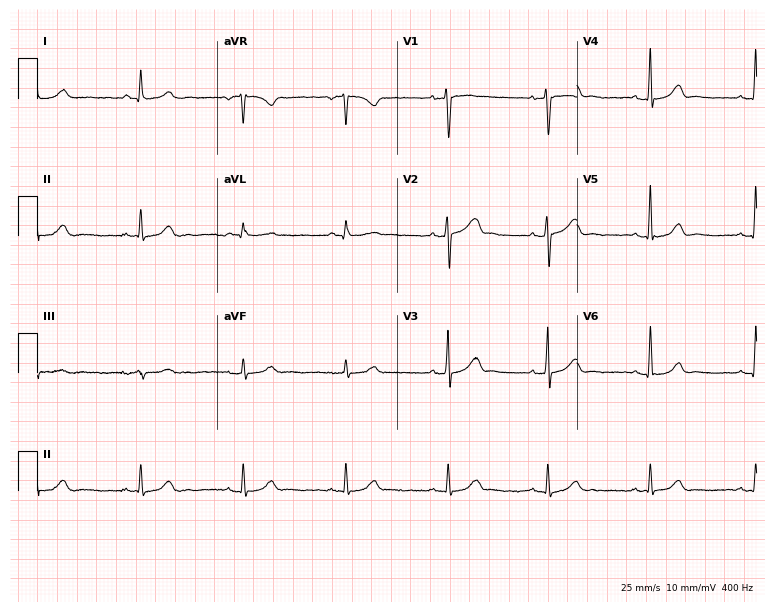
12-lead ECG (7.3-second recording at 400 Hz) from a man, 45 years old. Screened for six findings — first-degree AV block, right bundle branch block (RBBB), left bundle branch block (LBBB), sinus bradycardia, atrial fibrillation (AF), sinus tachycardia — none is recorded. Findings outside these six are not listed.